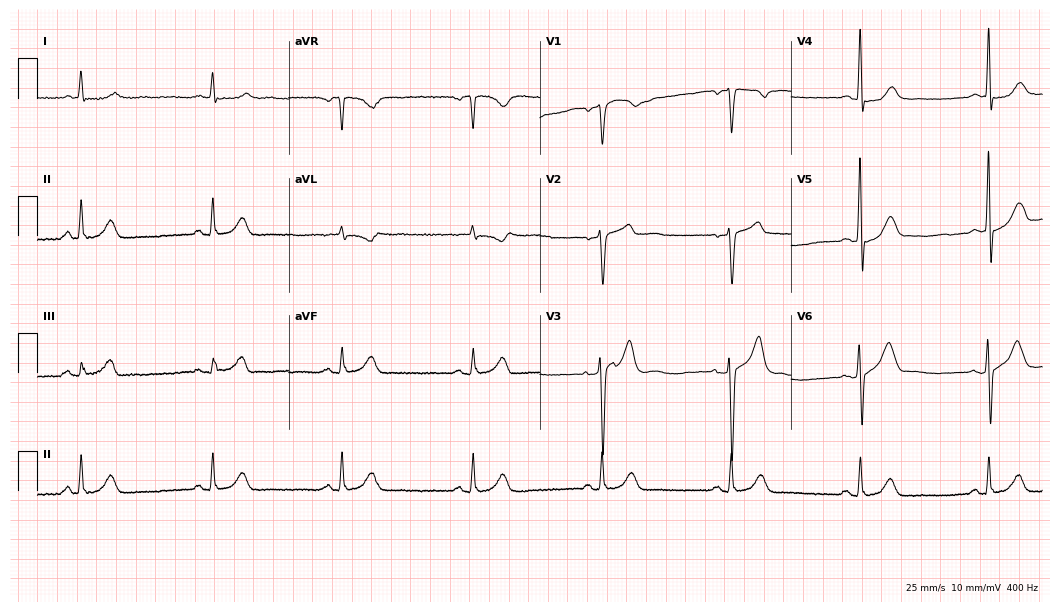
Resting 12-lead electrocardiogram (10.2-second recording at 400 Hz). Patient: a man, 61 years old. The tracing shows right bundle branch block, sinus bradycardia (a sinus rate of 50 beats per minute or less).